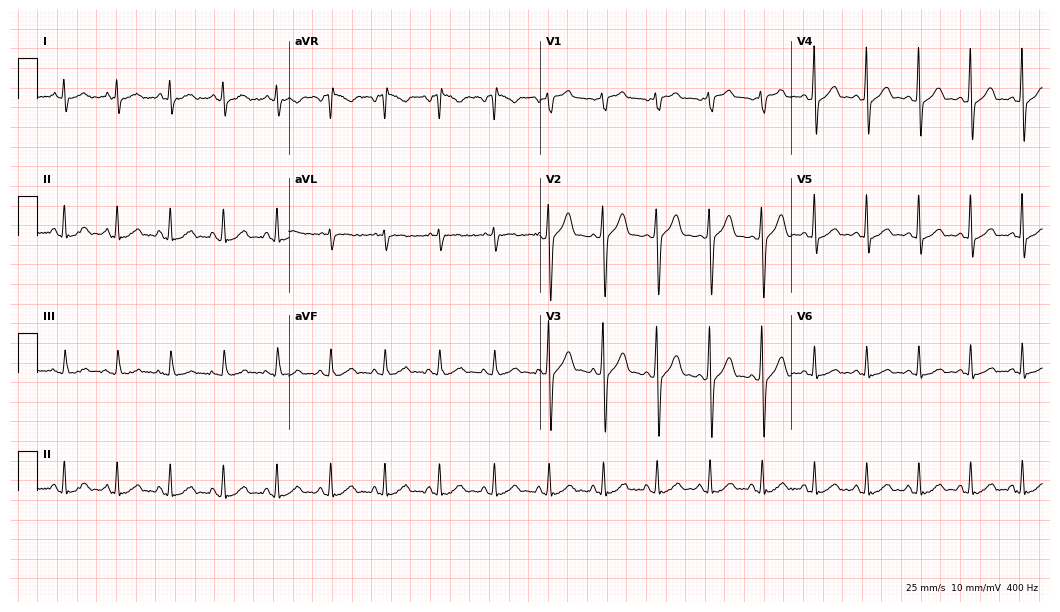
Standard 12-lead ECG recorded from a man, 40 years old (10.2-second recording at 400 Hz). None of these six findings is recorded: first-degree AV block, right bundle branch block (RBBB), left bundle branch block (LBBB), sinus bradycardia, atrial fibrillation (AF), sinus tachycardia.